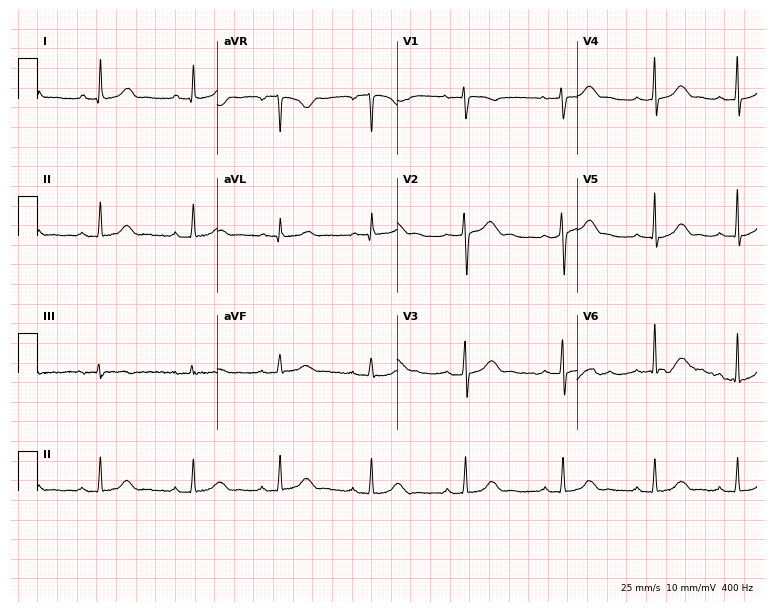
Electrocardiogram (7.3-second recording at 400 Hz), a female patient, 36 years old. Of the six screened findings (first-degree AV block, right bundle branch block (RBBB), left bundle branch block (LBBB), sinus bradycardia, atrial fibrillation (AF), sinus tachycardia), none is recorded. Other findings, if any, are not listed.